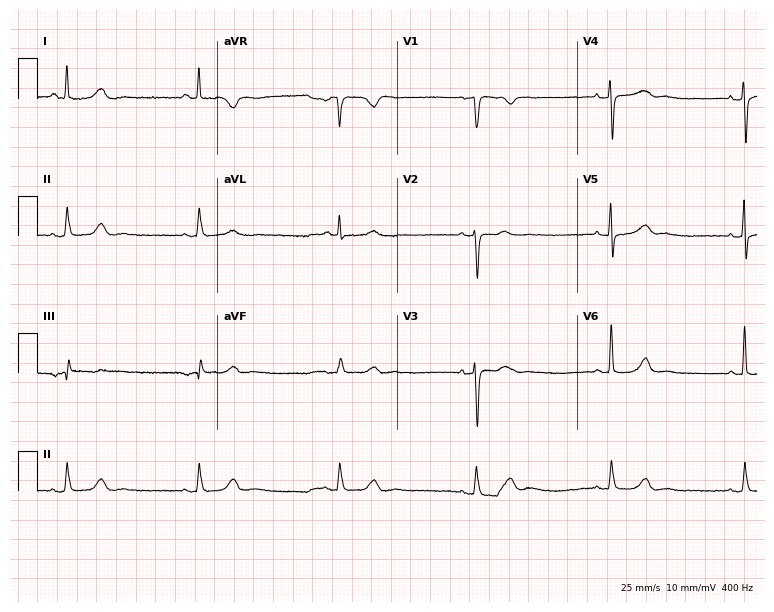
Standard 12-lead ECG recorded from a 43-year-old woman (7.3-second recording at 400 Hz). The tracing shows sinus bradycardia (a sinus rate of 50 beats per minute or less).